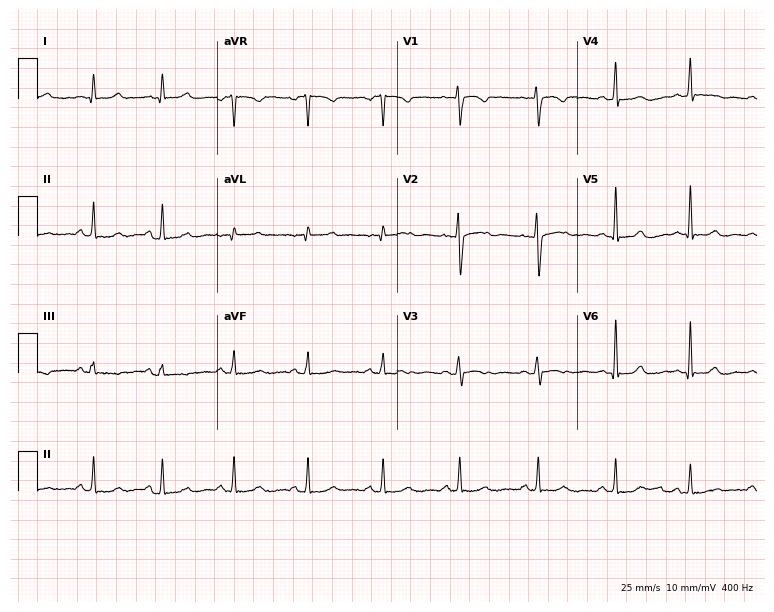
12-lead ECG from a 34-year-old female patient (7.3-second recording at 400 Hz). Recorded interpretation: within normal limits.